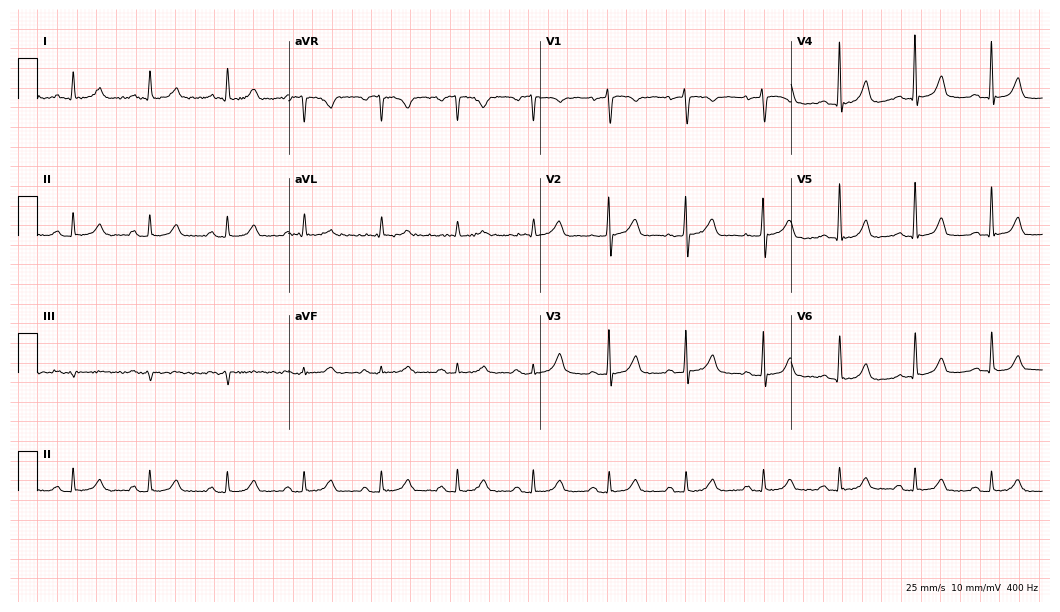
12-lead ECG from a 75-year-old male. Labelled as a normal ECG.